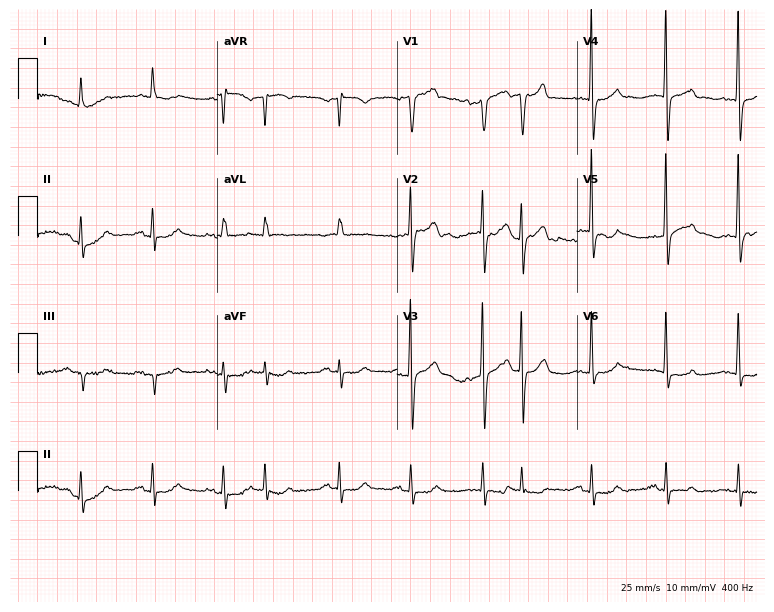
12-lead ECG from an 80-year-old man. Screened for six findings — first-degree AV block, right bundle branch block (RBBB), left bundle branch block (LBBB), sinus bradycardia, atrial fibrillation (AF), sinus tachycardia — none is recorded.